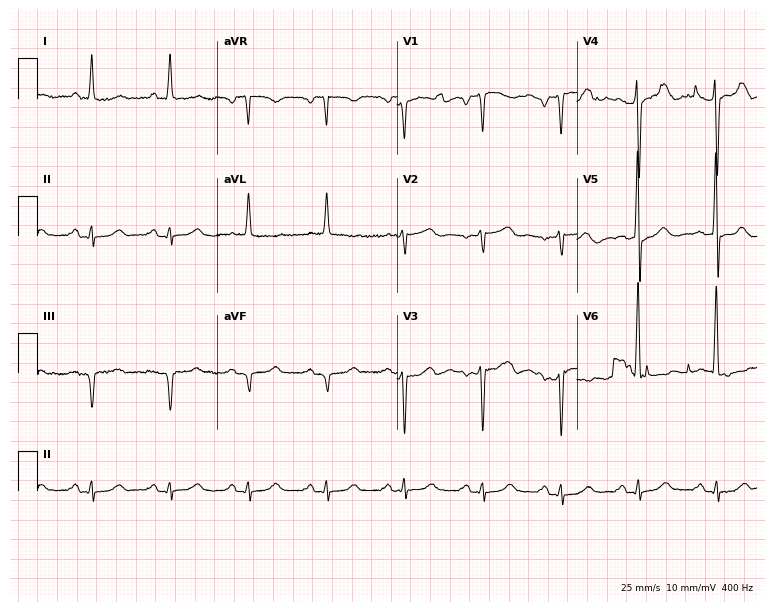
12-lead ECG from a 58-year-old male. No first-degree AV block, right bundle branch block, left bundle branch block, sinus bradycardia, atrial fibrillation or sinus tachycardia recorded for this tracing.